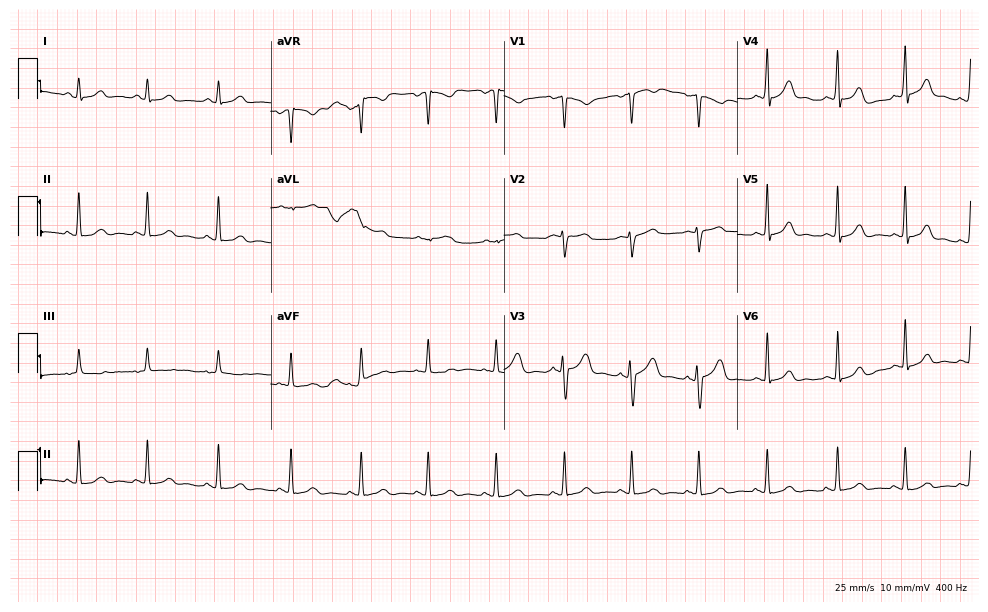
ECG (9.5-second recording at 400 Hz) — a 27-year-old female patient. Labelled as a normal ECG.